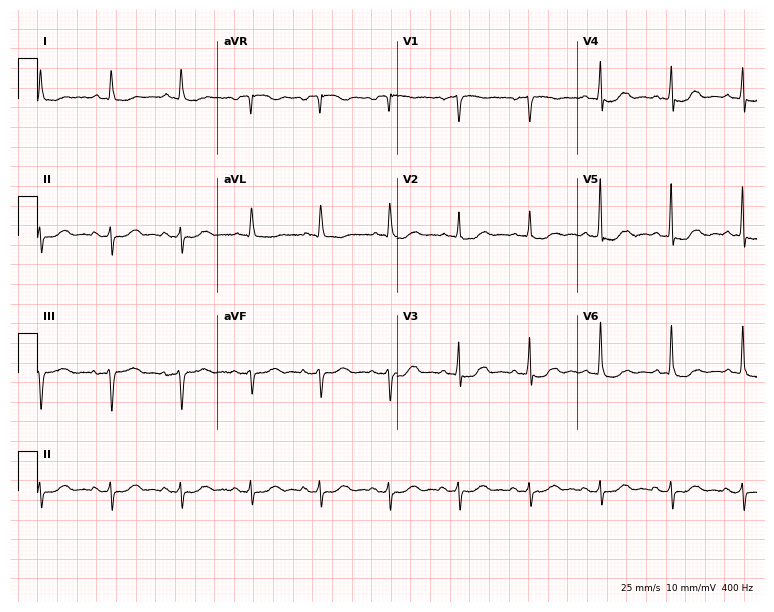
ECG — a male, 79 years old. Screened for six findings — first-degree AV block, right bundle branch block, left bundle branch block, sinus bradycardia, atrial fibrillation, sinus tachycardia — none is recorded.